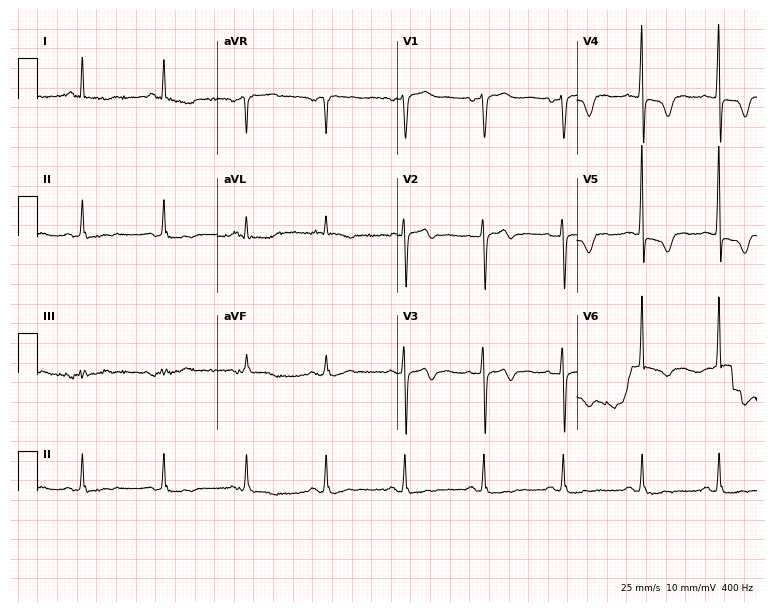
12-lead ECG from a female patient, 81 years old (7.3-second recording at 400 Hz). No first-degree AV block, right bundle branch block, left bundle branch block, sinus bradycardia, atrial fibrillation or sinus tachycardia recorded for this tracing.